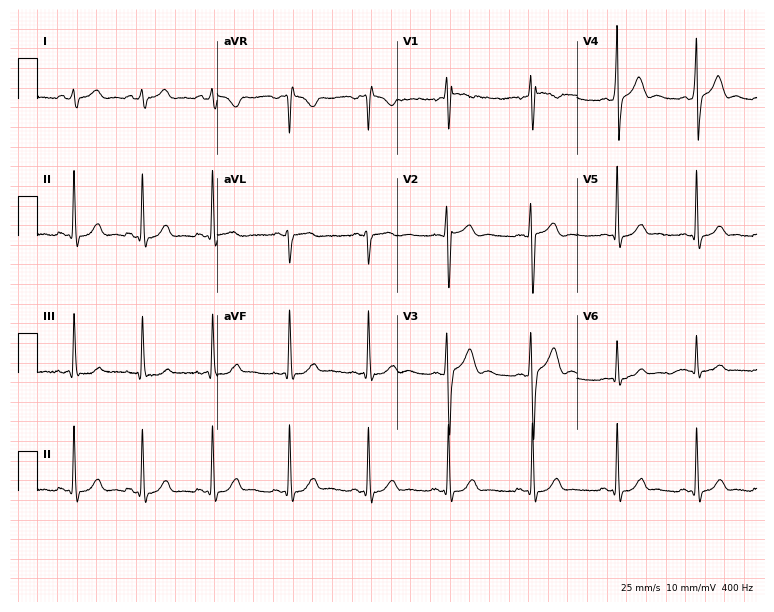
12-lead ECG from a man, 23 years old (7.3-second recording at 400 Hz). No first-degree AV block, right bundle branch block, left bundle branch block, sinus bradycardia, atrial fibrillation or sinus tachycardia recorded for this tracing. Findings outside these six are not listed.